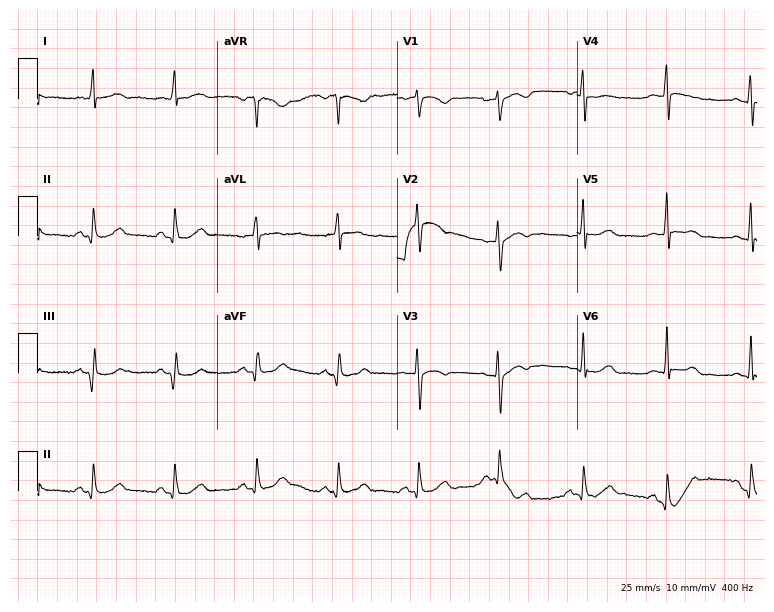
Electrocardiogram, a female, 54 years old. Of the six screened findings (first-degree AV block, right bundle branch block, left bundle branch block, sinus bradycardia, atrial fibrillation, sinus tachycardia), none is recorded.